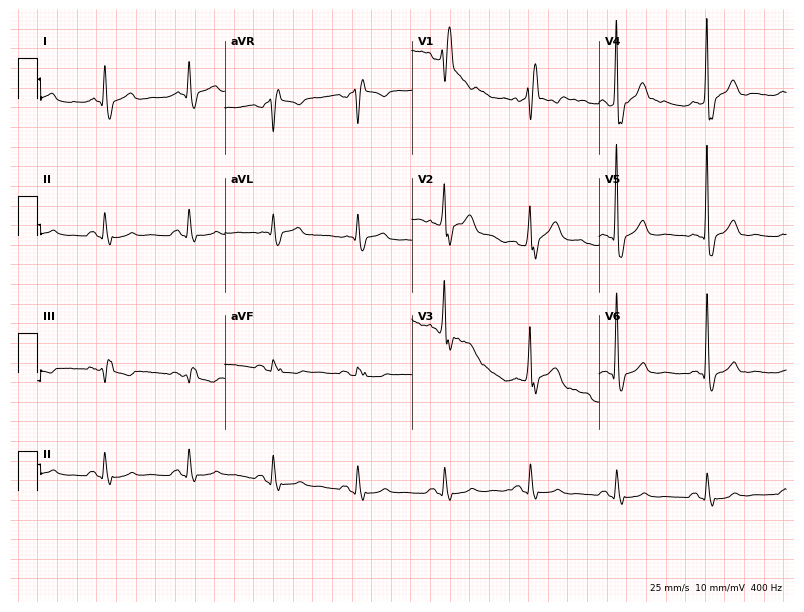
12-lead ECG from a male patient, 67 years old. Screened for six findings — first-degree AV block, right bundle branch block, left bundle branch block, sinus bradycardia, atrial fibrillation, sinus tachycardia — none is recorded. Findings outside these six are not listed.